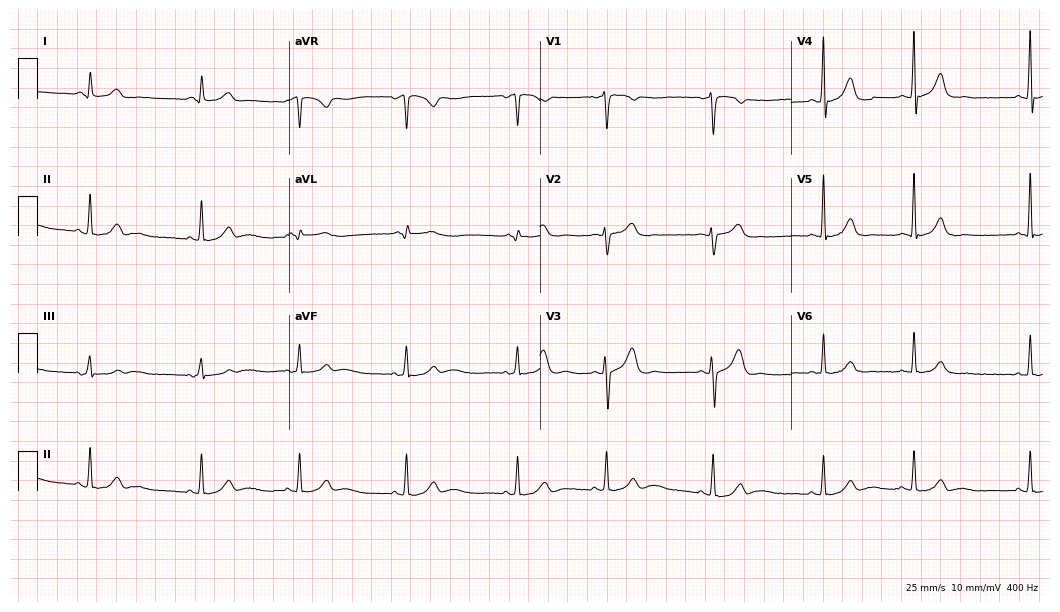
12-lead ECG from a 24-year-old female (10.2-second recording at 400 Hz). No first-degree AV block, right bundle branch block (RBBB), left bundle branch block (LBBB), sinus bradycardia, atrial fibrillation (AF) or sinus tachycardia recorded for this tracing. Only these six findings were labelled.